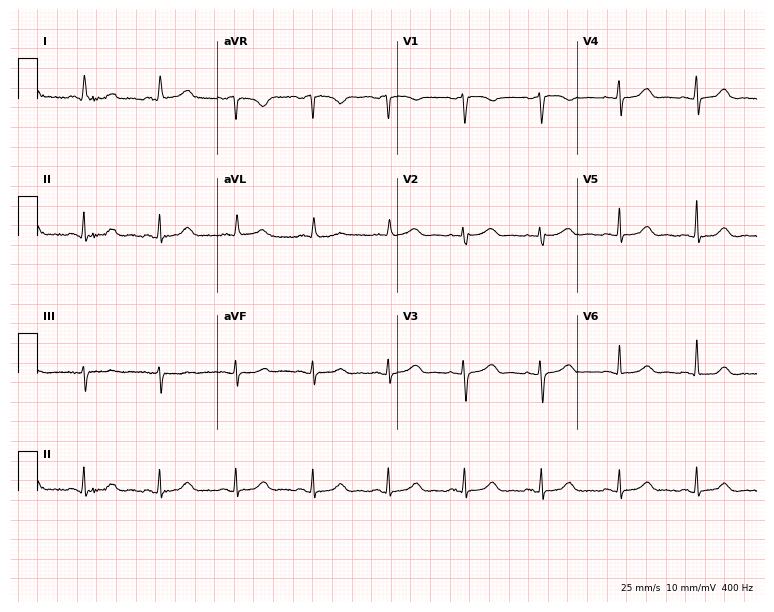
12-lead ECG from a female, 77 years old. Recorded interpretation: within normal limits.